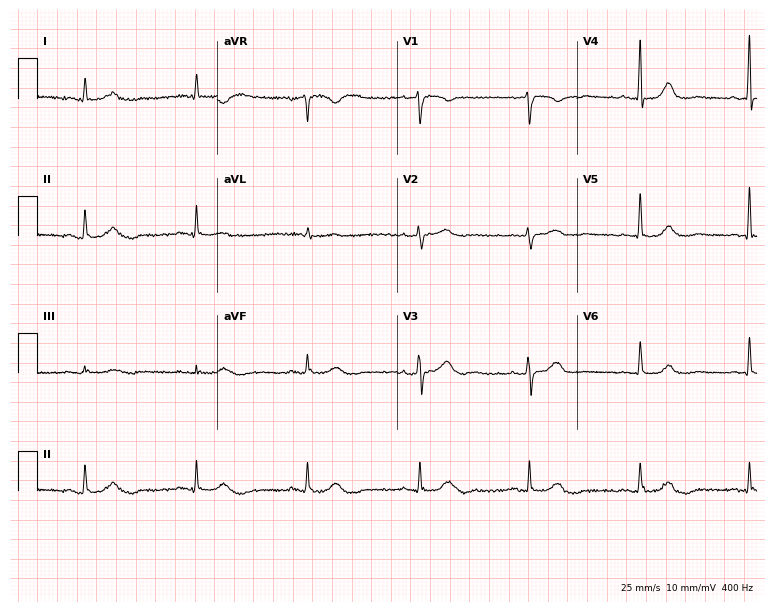
Electrocardiogram, a man, 74 years old. Overall reading on record: normal ECG.